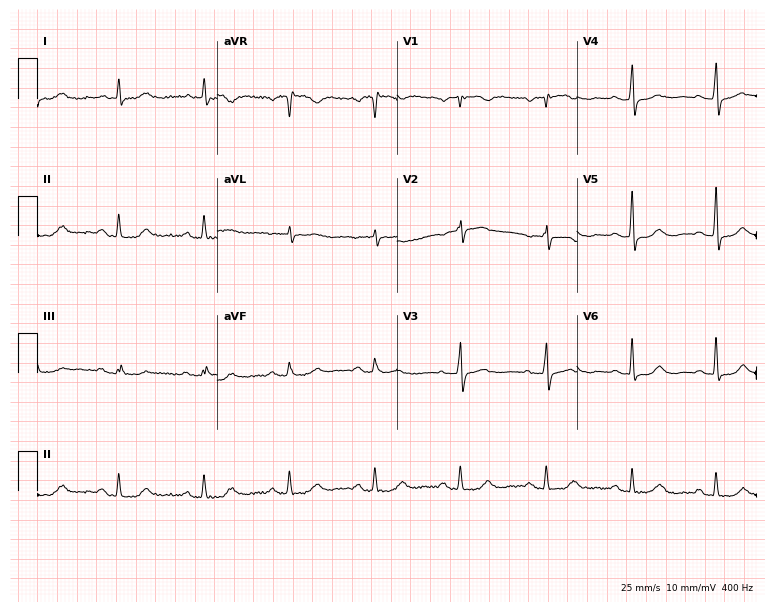
Standard 12-lead ECG recorded from a female patient, 80 years old. None of these six findings is recorded: first-degree AV block, right bundle branch block, left bundle branch block, sinus bradycardia, atrial fibrillation, sinus tachycardia.